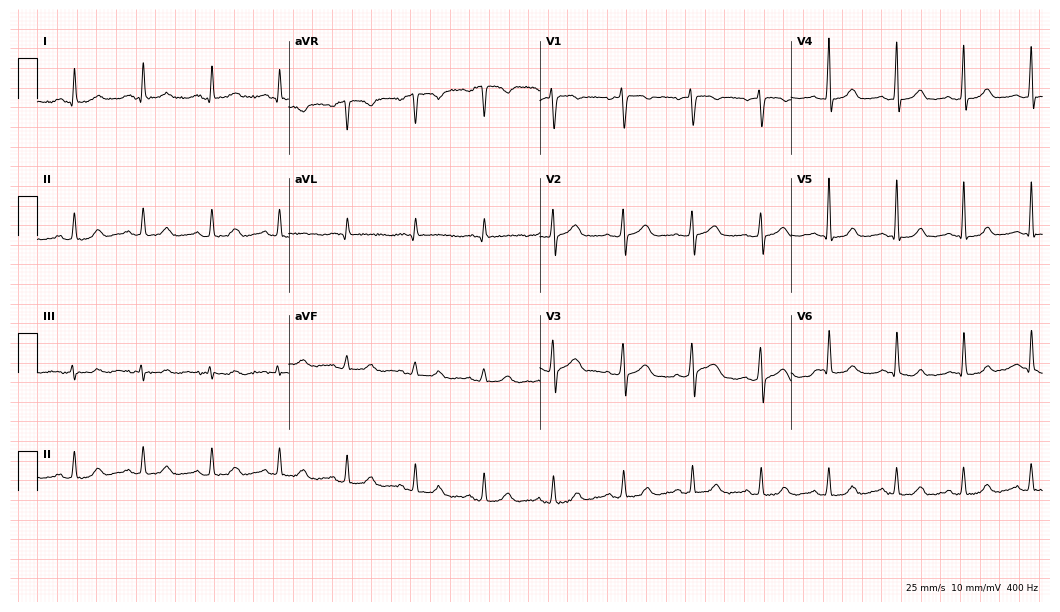
12-lead ECG from a 42-year-old woman. Labelled as a normal ECG.